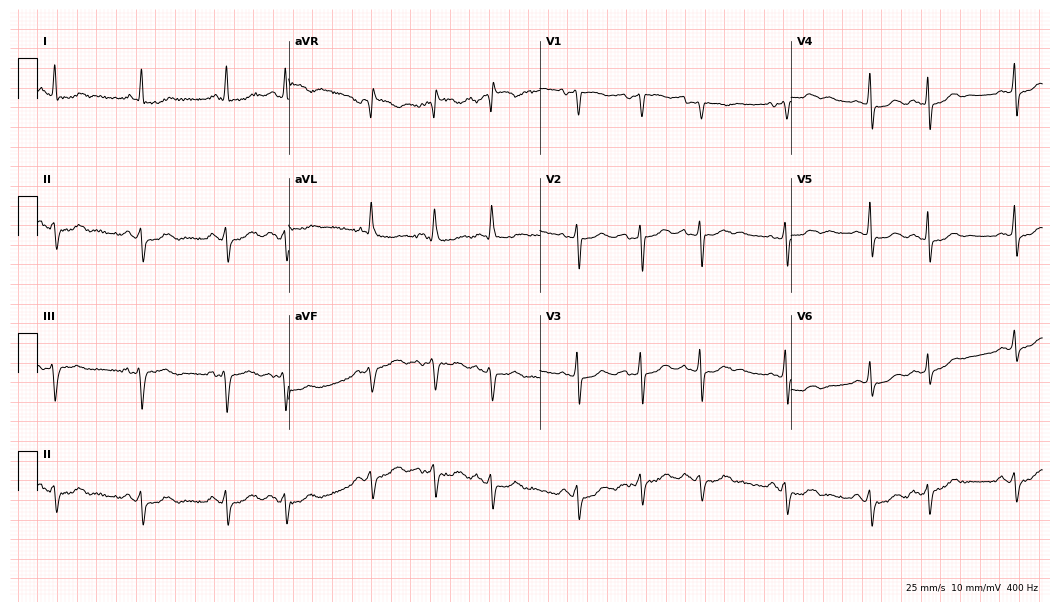
Standard 12-lead ECG recorded from a 68-year-old female (10.2-second recording at 400 Hz). None of these six findings is recorded: first-degree AV block, right bundle branch block, left bundle branch block, sinus bradycardia, atrial fibrillation, sinus tachycardia. Findings outside these six are not listed.